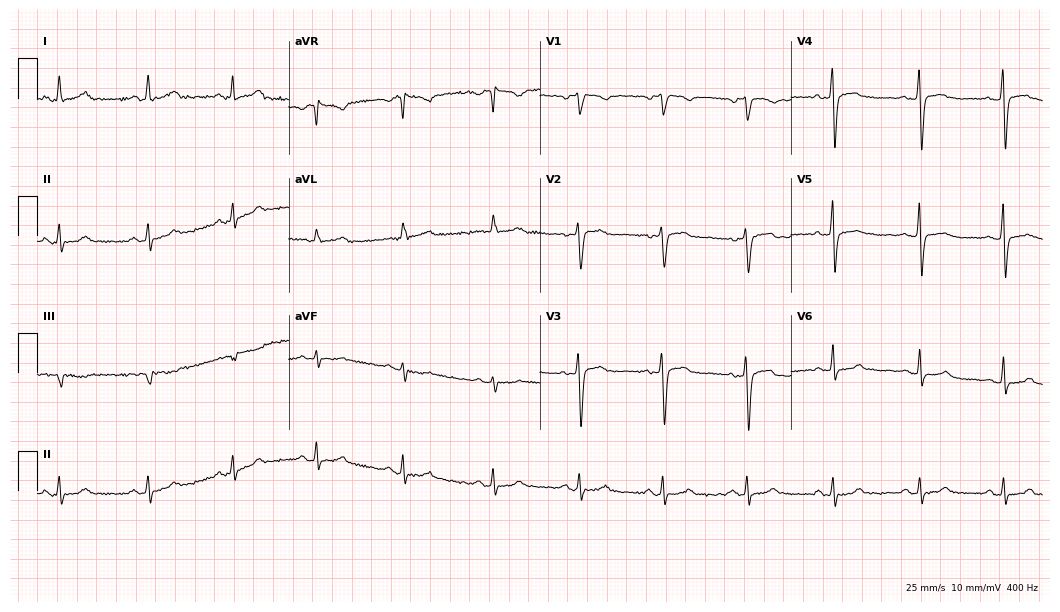
12-lead ECG from a 40-year-old woman. No first-degree AV block, right bundle branch block (RBBB), left bundle branch block (LBBB), sinus bradycardia, atrial fibrillation (AF) or sinus tachycardia recorded for this tracing.